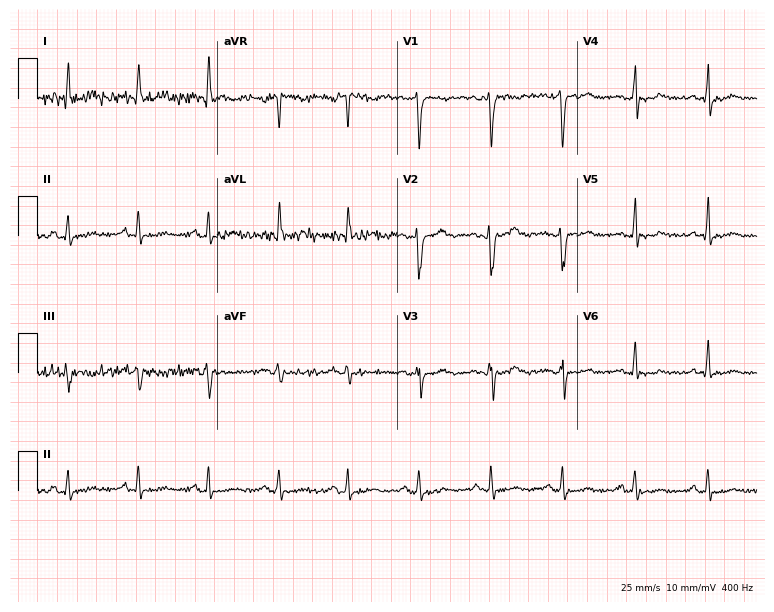
Standard 12-lead ECG recorded from a 45-year-old female patient (7.3-second recording at 400 Hz). None of these six findings is recorded: first-degree AV block, right bundle branch block, left bundle branch block, sinus bradycardia, atrial fibrillation, sinus tachycardia.